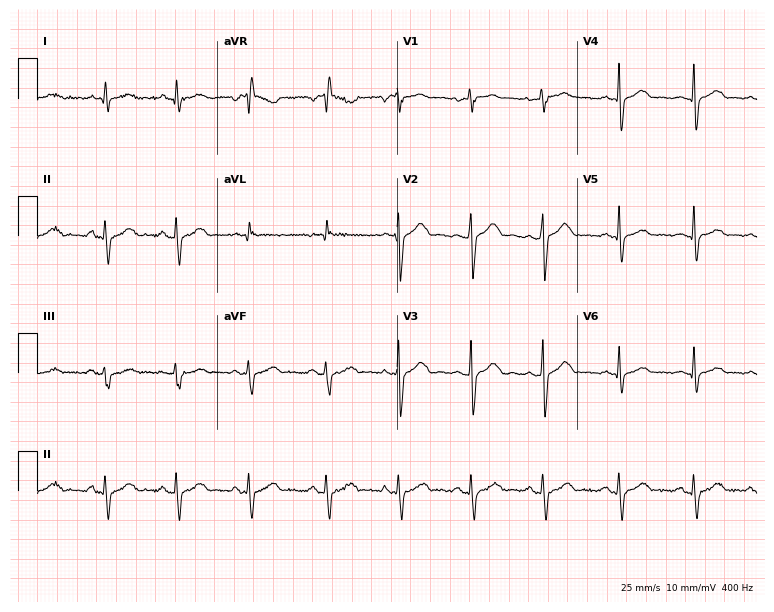
Electrocardiogram (7.3-second recording at 400 Hz), a male, 43 years old. Of the six screened findings (first-degree AV block, right bundle branch block, left bundle branch block, sinus bradycardia, atrial fibrillation, sinus tachycardia), none is recorded.